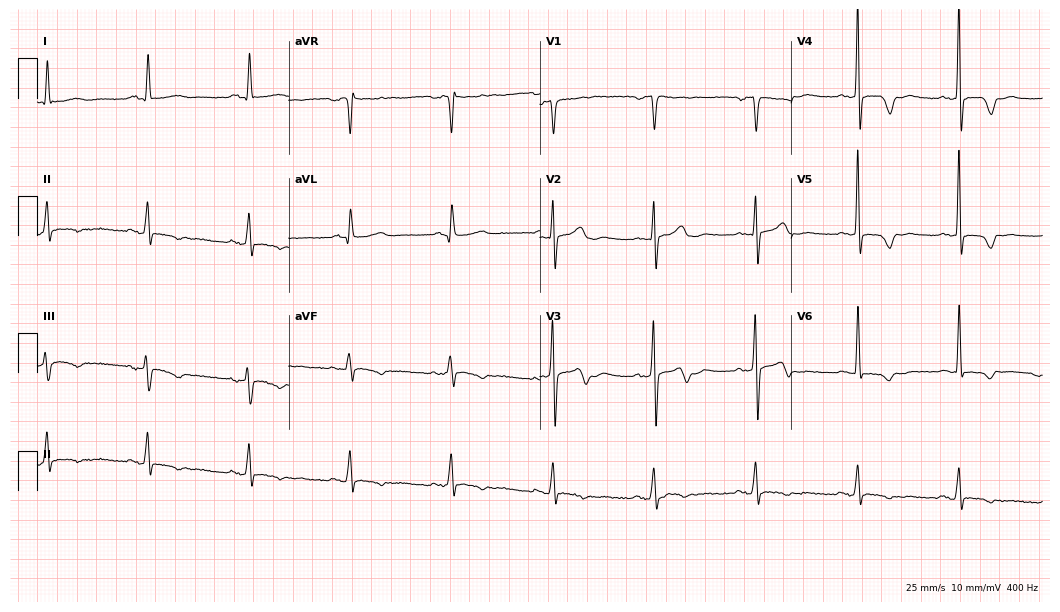
Resting 12-lead electrocardiogram. Patient: a 50-year-old female. None of these six findings is recorded: first-degree AV block, right bundle branch block, left bundle branch block, sinus bradycardia, atrial fibrillation, sinus tachycardia.